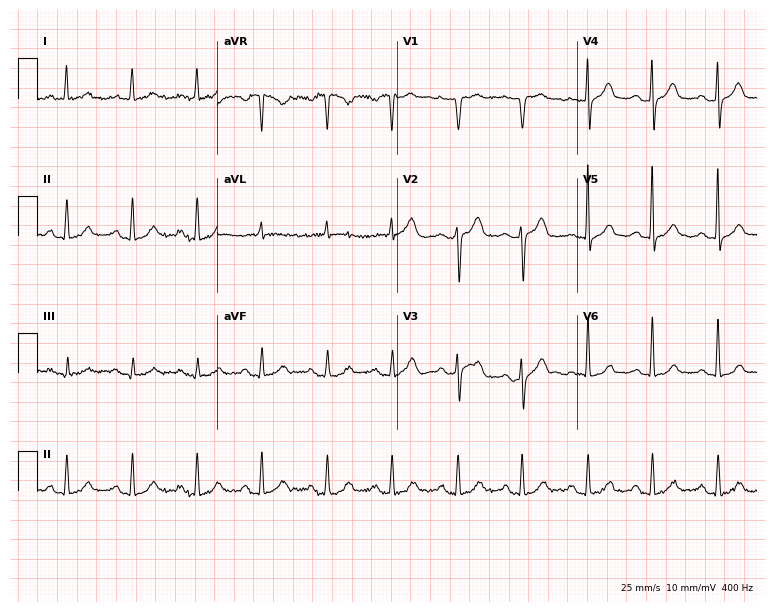
Resting 12-lead electrocardiogram. Patient: a female, 84 years old. None of these six findings is recorded: first-degree AV block, right bundle branch block, left bundle branch block, sinus bradycardia, atrial fibrillation, sinus tachycardia.